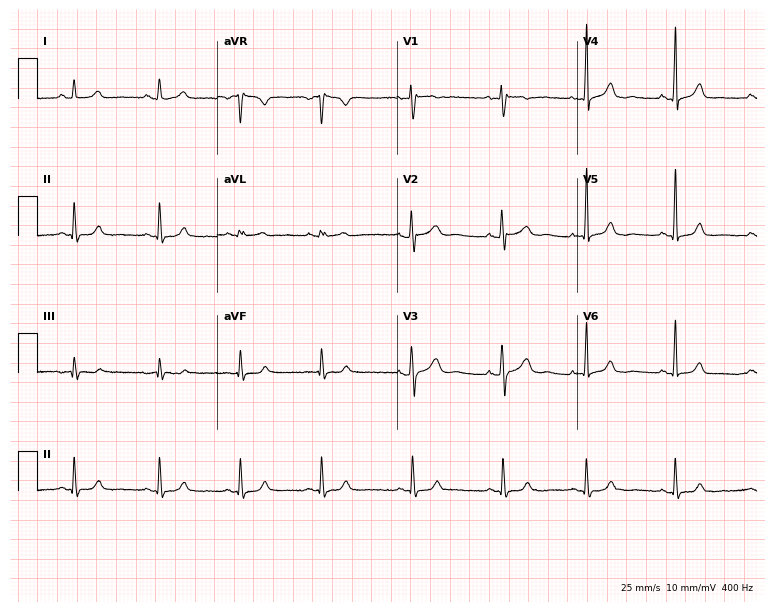
Standard 12-lead ECG recorded from a 28-year-old woman (7.3-second recording at 400 Hz). None of these six findings is recorded: first-degree AV block, right bundle branch block, left bundle branch block, sinus bradycardia, atrial fibrillation, sinus tachycardia. Only these six findings were labelled.